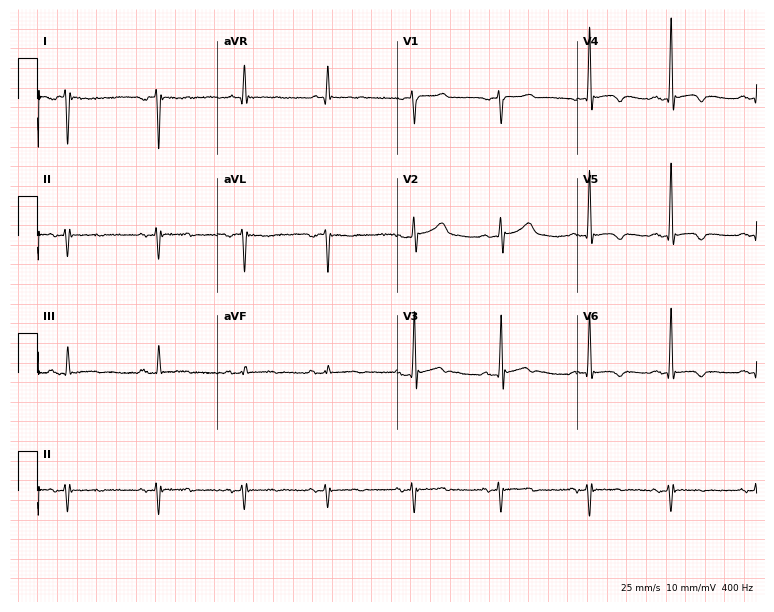
ECG (7.3-second recording at 400 Hz) — a 53-year-old man. Screened for six findings — first-degree AV block, right bundle branch block (RBBB), left bundle branch block (LBBB), sinus bradycardia, atrial fibrillation (AF), sinus tachycardia — none is recorded. Findings outside these six are not listed.